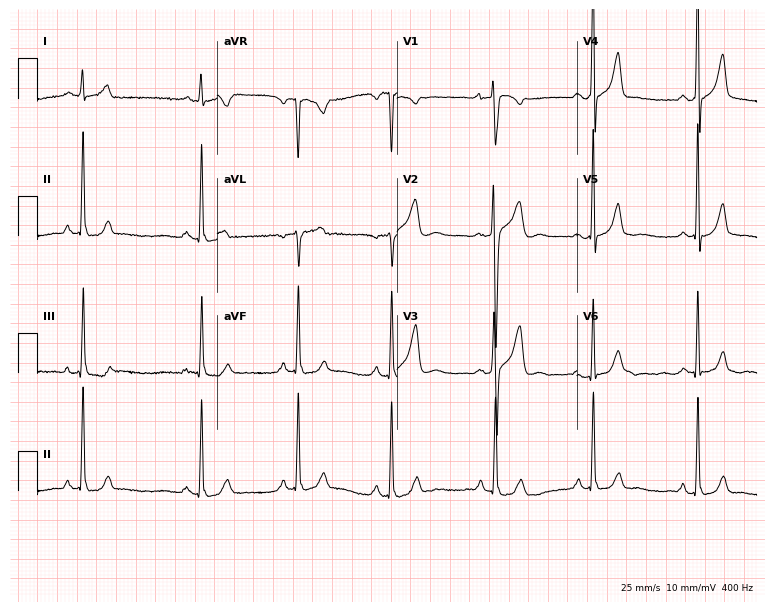
ECG — a man, 21 years old. Screened for six findings — first-degree AV block, right bundle branch block (RBBB), left bundle branch block (LBBB), sinus bradycardia, atrial fibrillation (AF), sinus tachycardia — none is recorded.